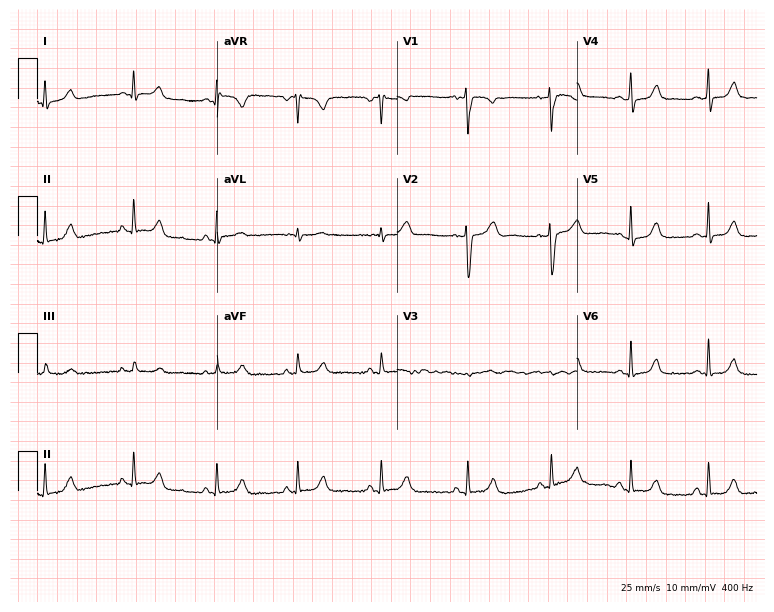
12-lead ECG from a woman, 23 years old. Screened for six findings — first-degree AV block, right bundle branch block, left bundle branch block, sinus bradycardia, atrial fibrillation, sinus tachycardia — none is recorded. Only these six findings were labelled.